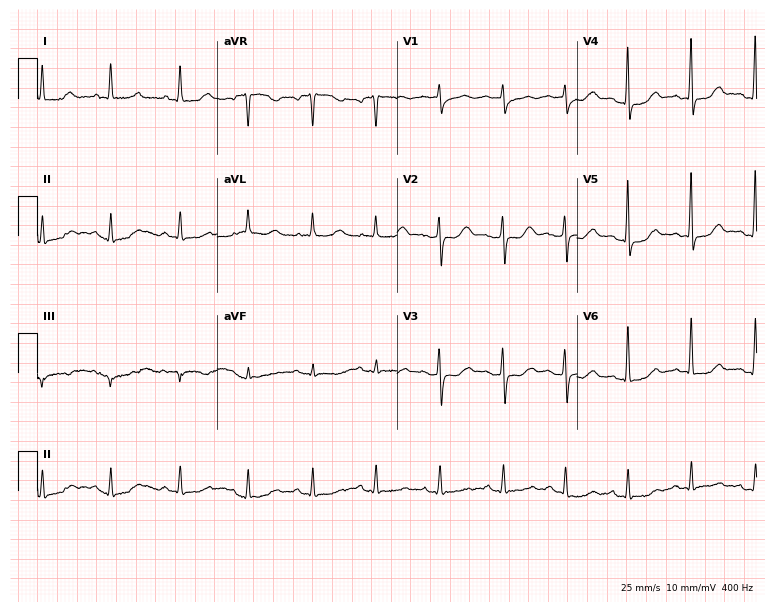
Resting 12-lead electrocardiogram. Patient: a 44-year-old female. None of these six findings is recorded: first-degree AV block, right bundle branch block, left bundle branch block, sinus bradycardia, atrial fibrillation, sinus tachycardia.